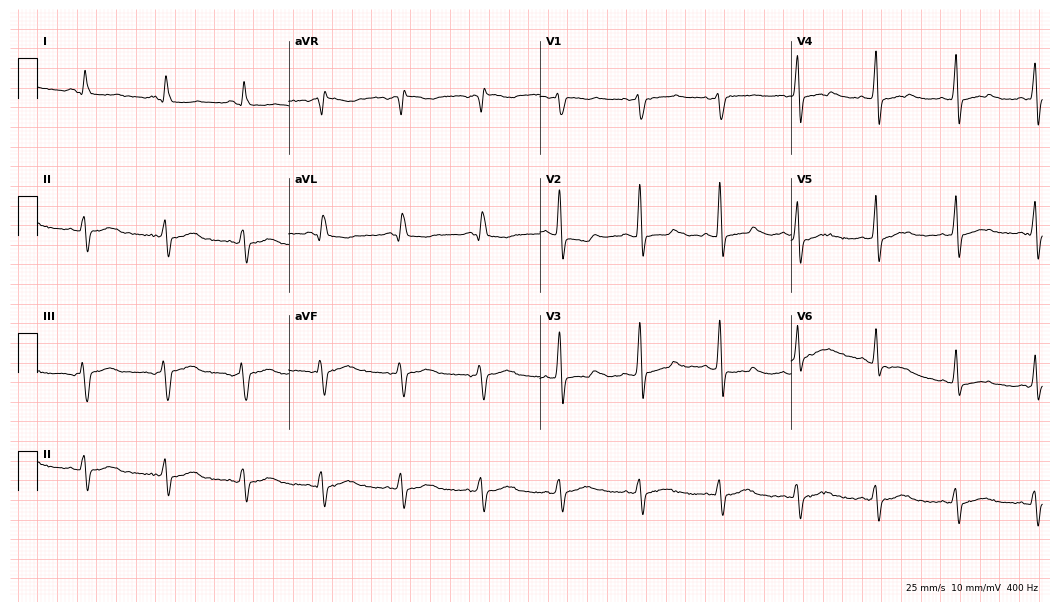
12-lead ECG from a 63-year-old man. No first-degree AV block, right bundle branch block, left bundle branch block, sinus bradycardia, atrial fibrillation or sinus tachycardia recorded for this tracing. Findings outside these six are not listed.